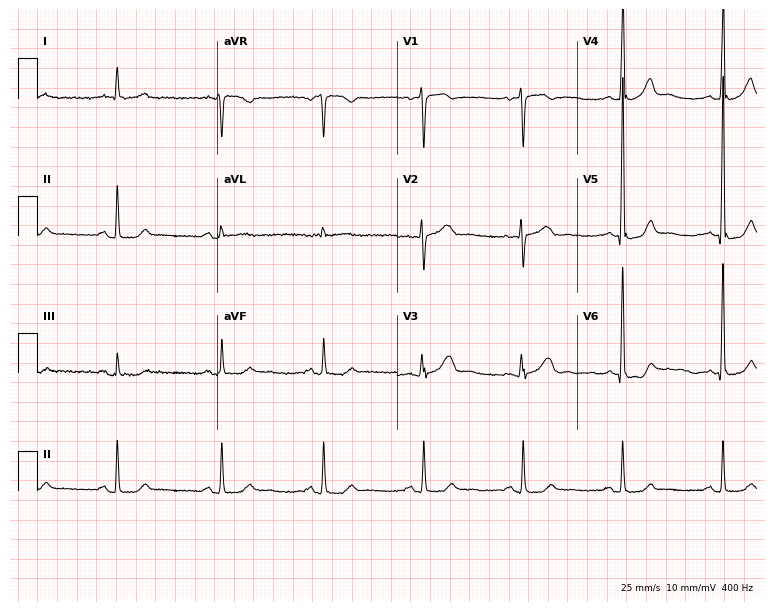
12-lead ECG from a woman, 53 years old (7.3-second recording at 400 Hz). Recorded interpretation: within normal limits.